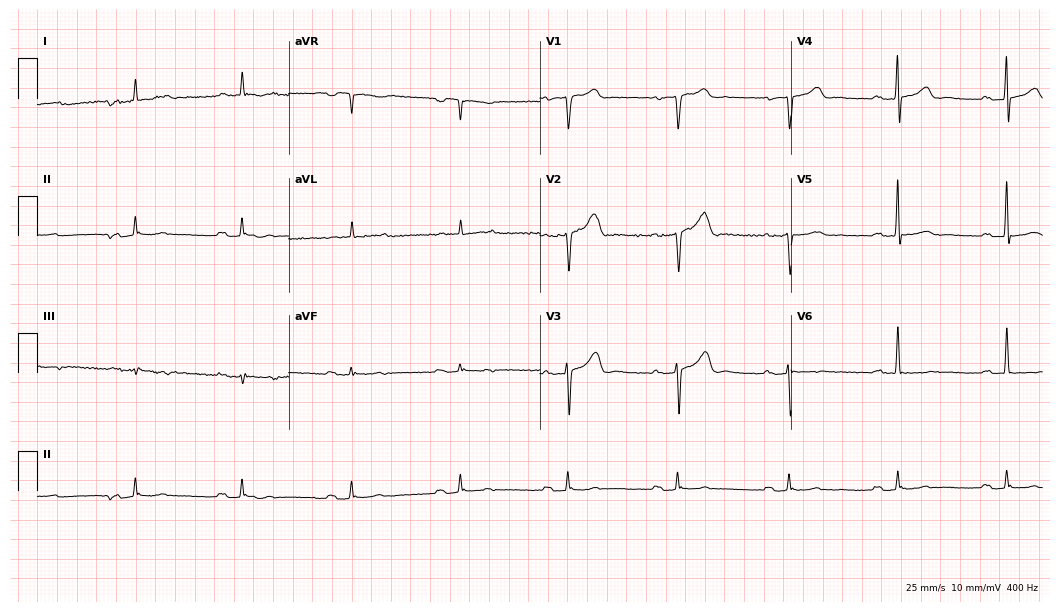
ECG (10.2-second recording at 400 Hz) — a man, 70 years old. Findings include first-degree AV block.